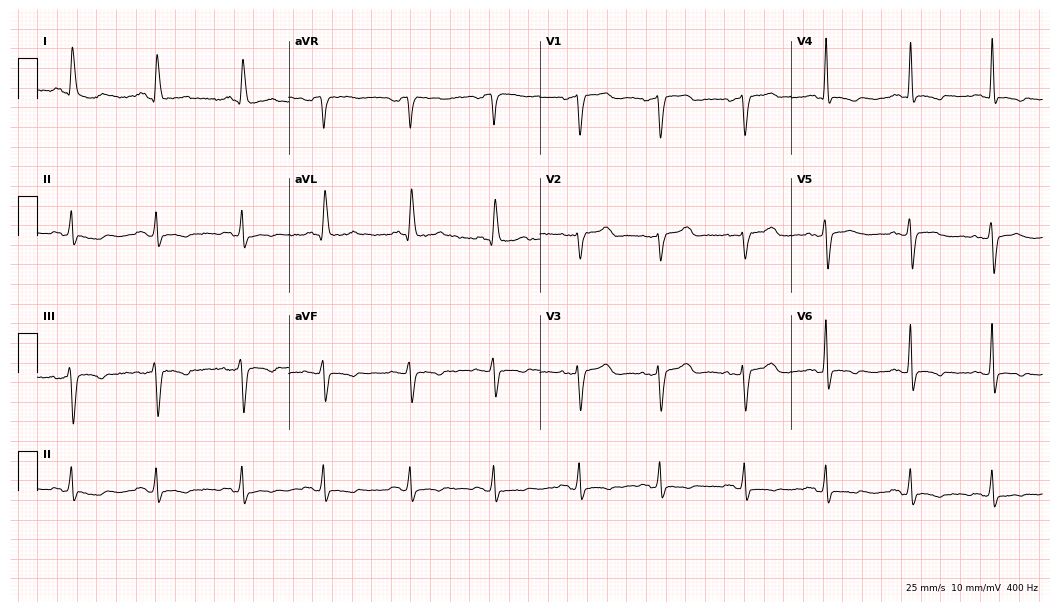
Resting 12-lead electrocardiogram (10.2-second recording at 400 Hz). Patient: a 73-year-old female. None of these six findings is recorded: first-degree AV block, right bundle branch block (RBBB), left bundle branch block (LBBB), sinus bradycardia, atrial fibrillation (AF), sinus tachycardia. Other findings, if any, are not listed.